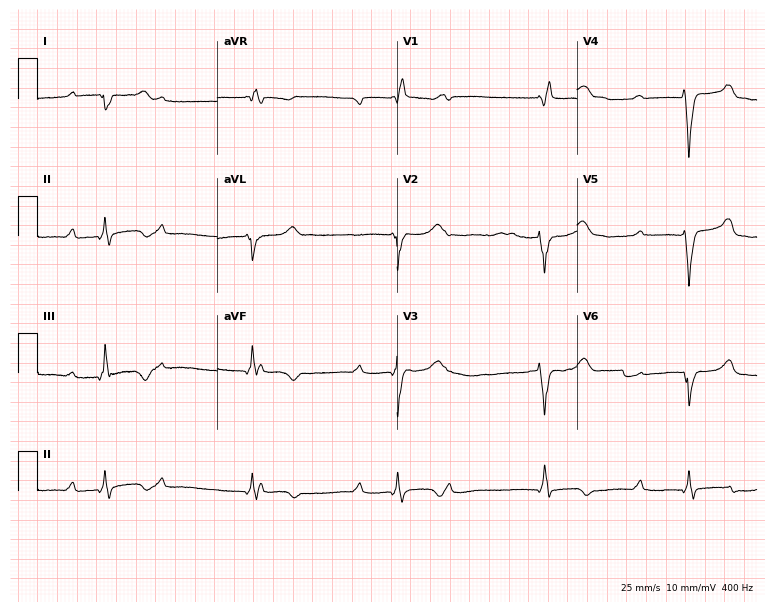
Standard 12-lead ECG recorded from a male patient, 48 years old. The tracing shows first-degree AV block, right bundle branch block (RBBB).